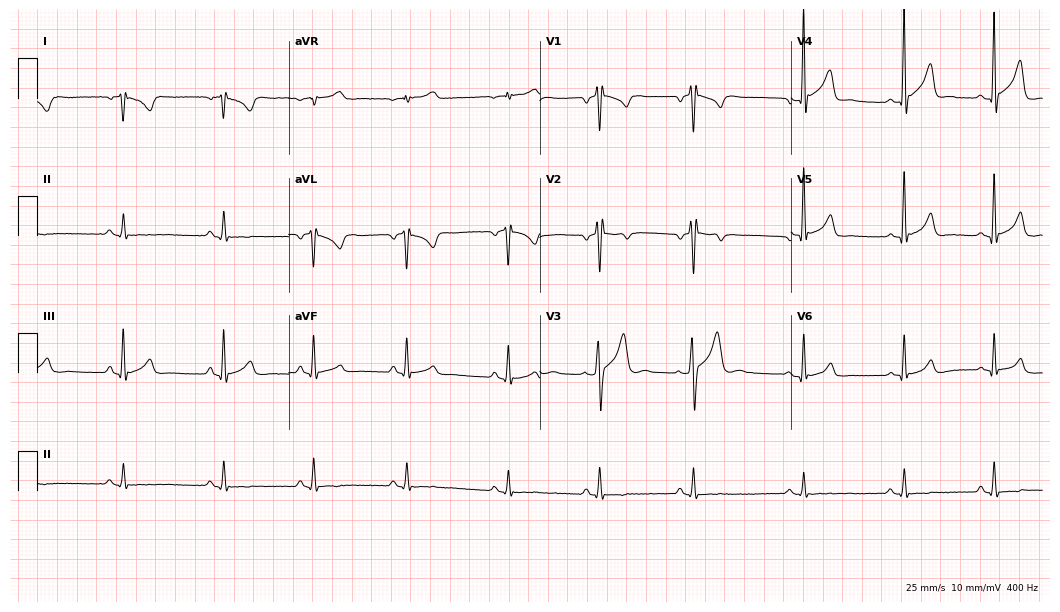
ECG — a 27-year-old man. Screened for six findings — first-degree AV block, right bundle branch block, left bundle branch block, sinus bradycardia, atrial fibrillation, sinus tachycardia — none is recorded. Only these six findings were labelled.